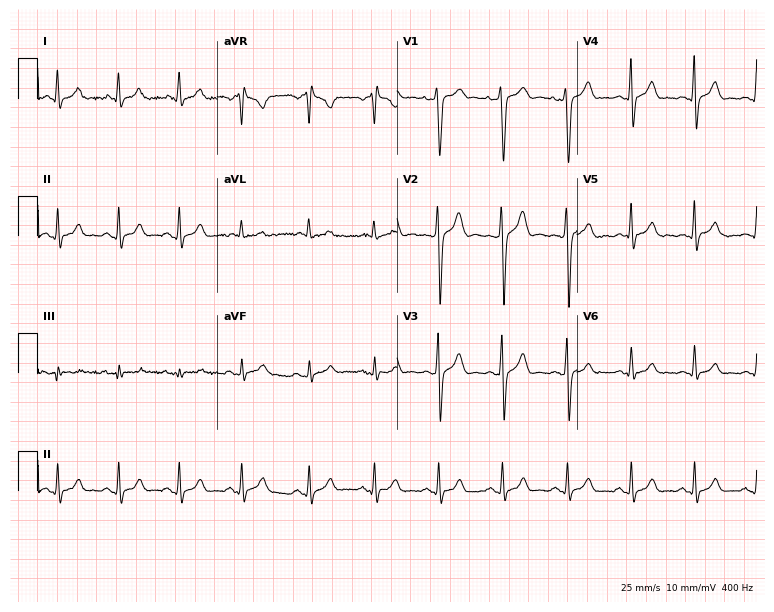
Standard 12-lead ECG recorded from an 18-year-old male patient (7.3-second recording at 400 Hz). Read as a normal ECG.